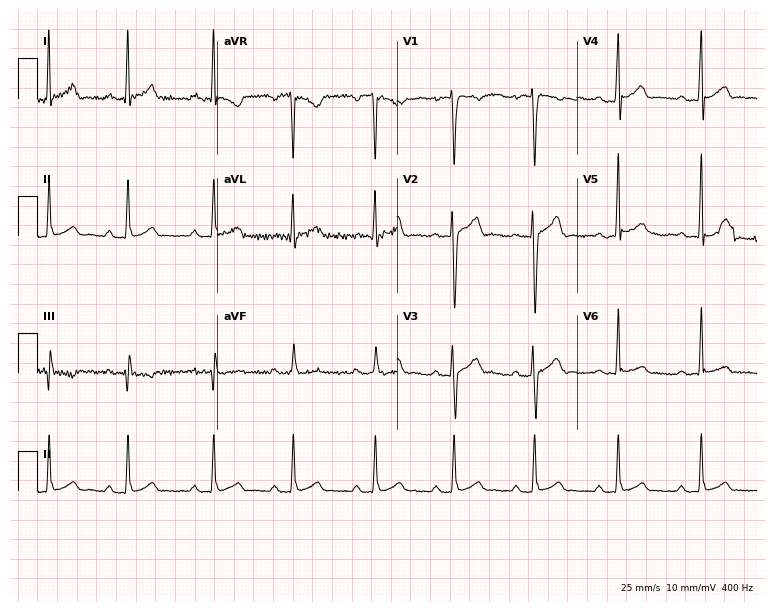
Resting 12-lead electrocardiogram. Patient: a 22-year-old male. Read as a normal ECG.